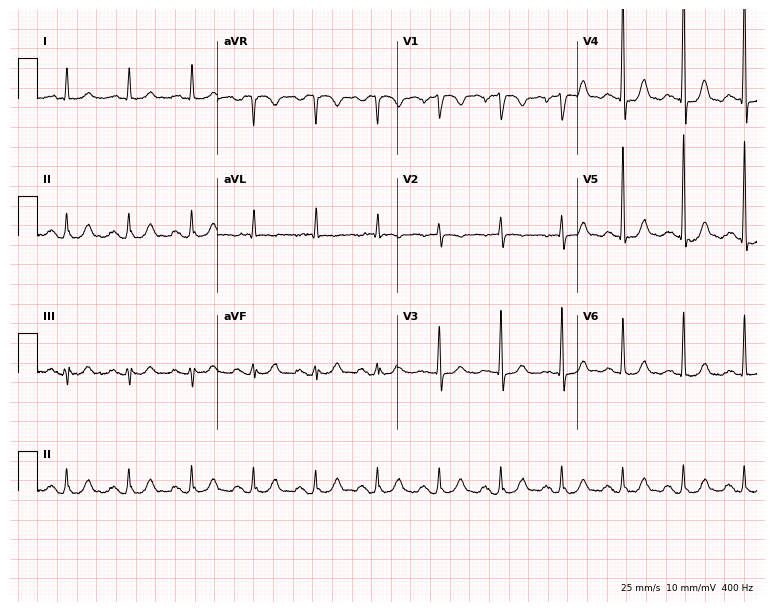
ECG — an 83-year-old male. Screened for six findings — first-degree AV block, right bundle branch block, left bundle branch block, sinus bradycardia, atrial fibrillation, sinus tachycardia — none is recorded.